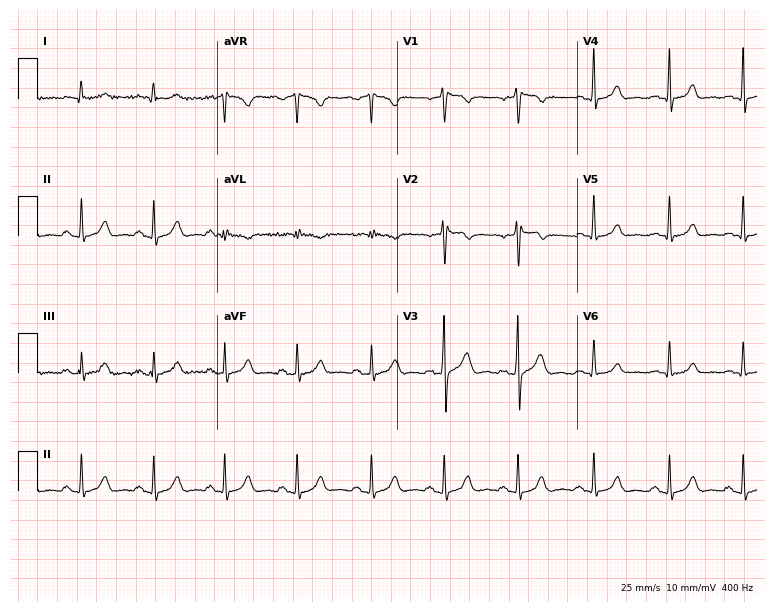
Electrocardiogram, a 29-year-old male. Of the six screened findings (first-degree AV block, right bundle branch block (RBBB), left bundle branch block (LBBB), sinus bradycardia, atrial fibrillation (AF), sinus tachycardia), none is recorded. Only these six findings were labelled.